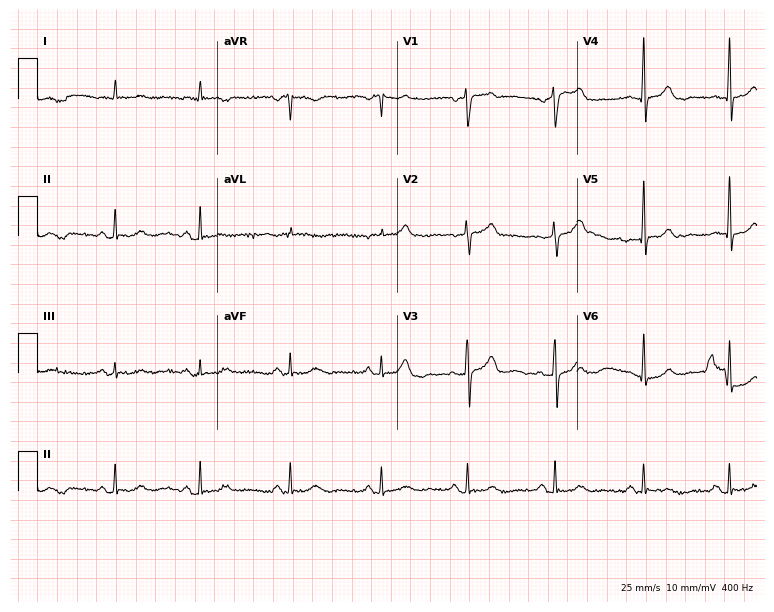
Standard 12-lead ECG recorded from a 77-year-old male. Read as a normal ECG.